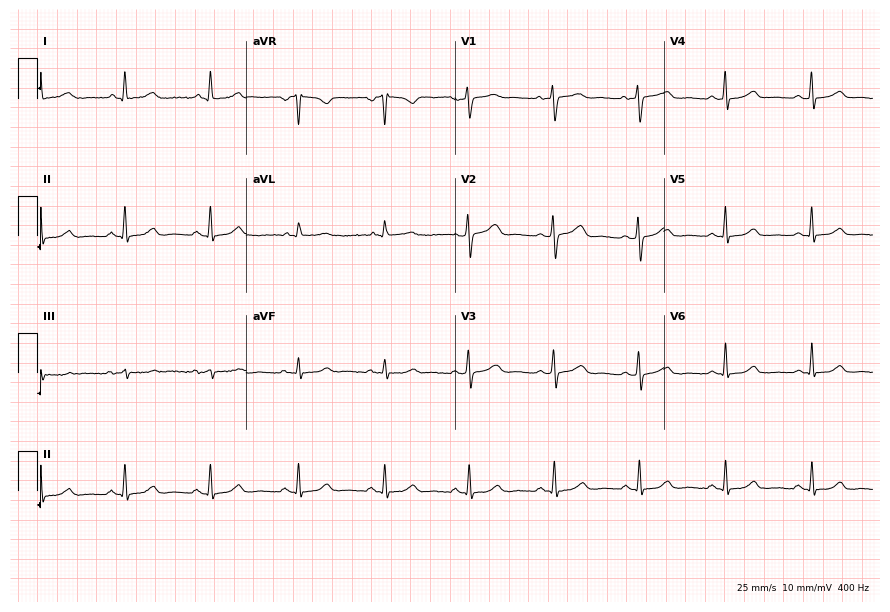
Resting 12-lead electrocardiogram. Patient: a woman, 69 years old. None of these six findings is recorded: first-degree AV block, right bundle branch block (RBBB), left bundle branch block (LBBB), sinus bradycardia, atrial fibrillation (AF), sinus tachycardia.